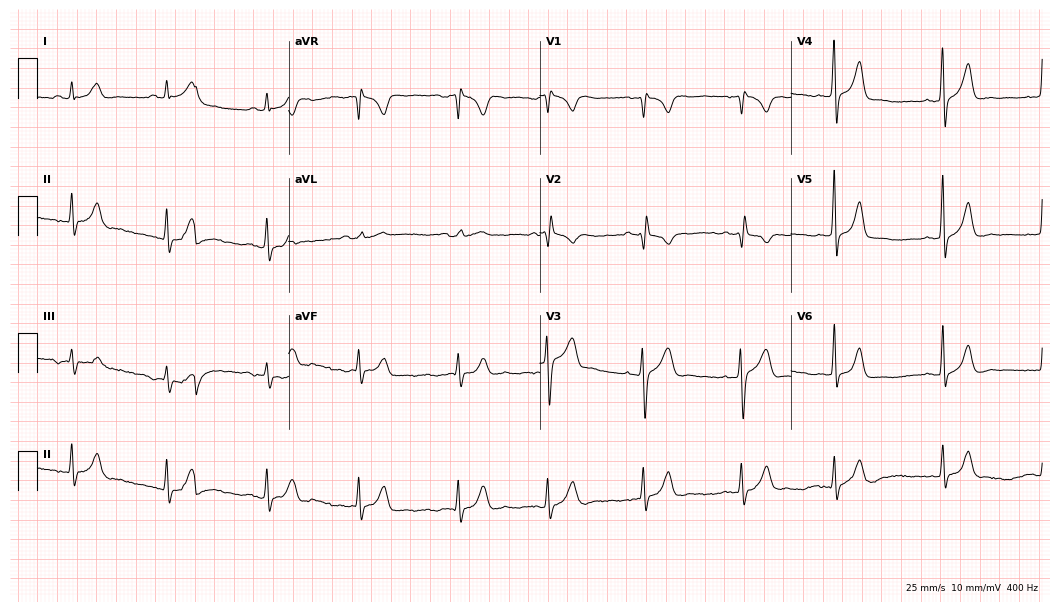
ECG (10.2-second recording at 400 Hz) — a male patient, 25 years old. Screened for six findings — first-degree AV block, right bundle branch block, left bundle branch block, sinus bradycardia, atrial fibrillation, sinus tachycardia — none is recorded.